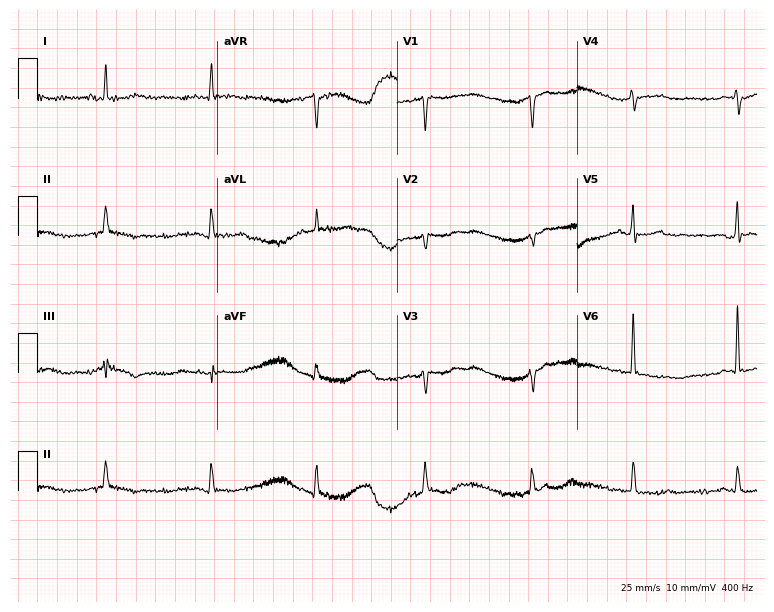
ECG — a female patient, 61 years old. Screened for six findings — first-degree AV block, right bundle branch block (RBBB), left bundle branch block (LBBB), sinus bradycardia, atrial fibrillation (AF), sinus tachycardia — none is recorded. Findings outside these six are not listed.